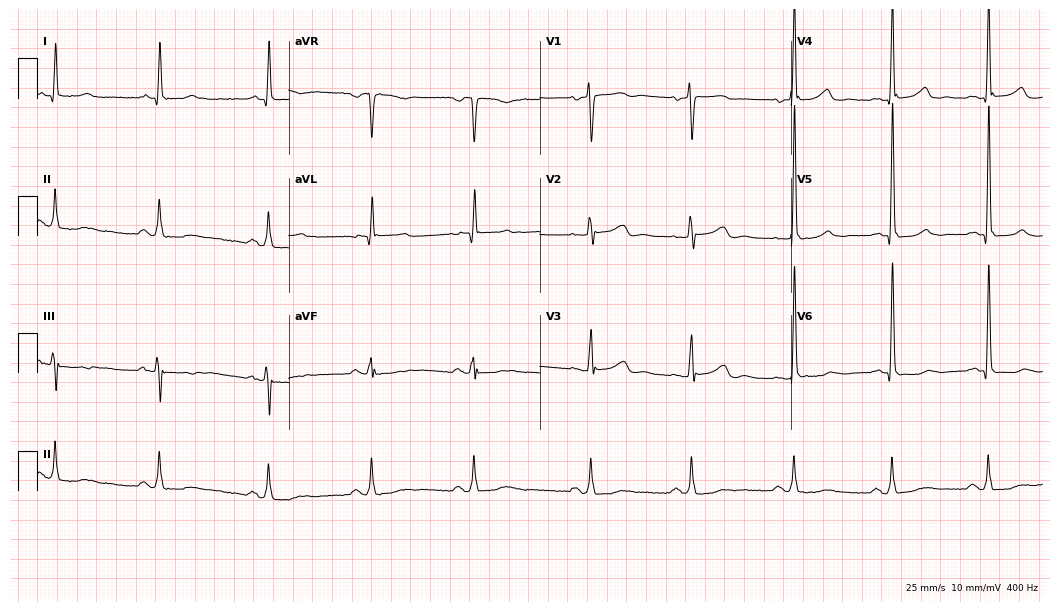
Standard 12-lead ECG recorded from a woman, 63 years old (10.2-second recording at 400 Hz). None of these six findings is recorded: first-degree AV block, right bundle branch block, left bundle branch block, sinus bradycardia, atrial fibrillation, sinus tachycardia.